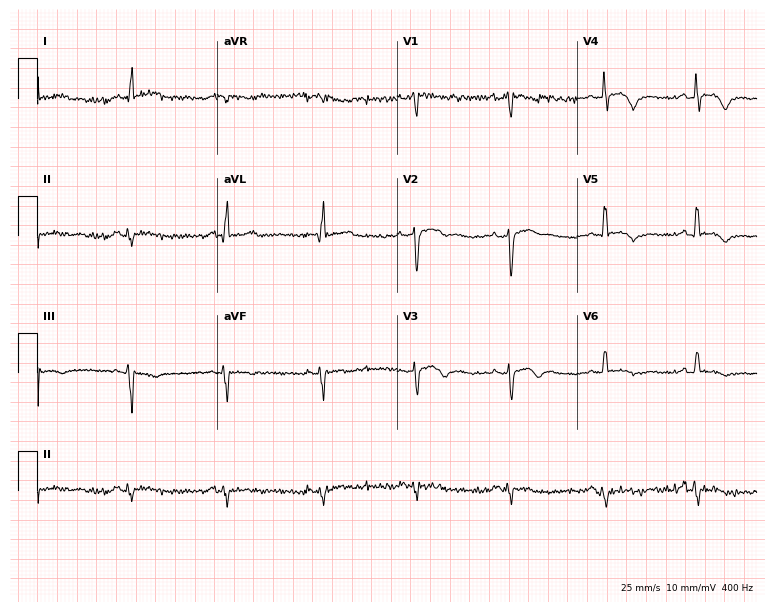
12-lead ECG (7.3-second recording at 400 Hz) from a 34-year-old man. Screened for six findings — first-degree AV block, right bundle branch block (RBBB), left bundle branch block (LBBB), sinus bradycardia, atrial fibrillation (AF), sinus tachycardia — none is recorded.